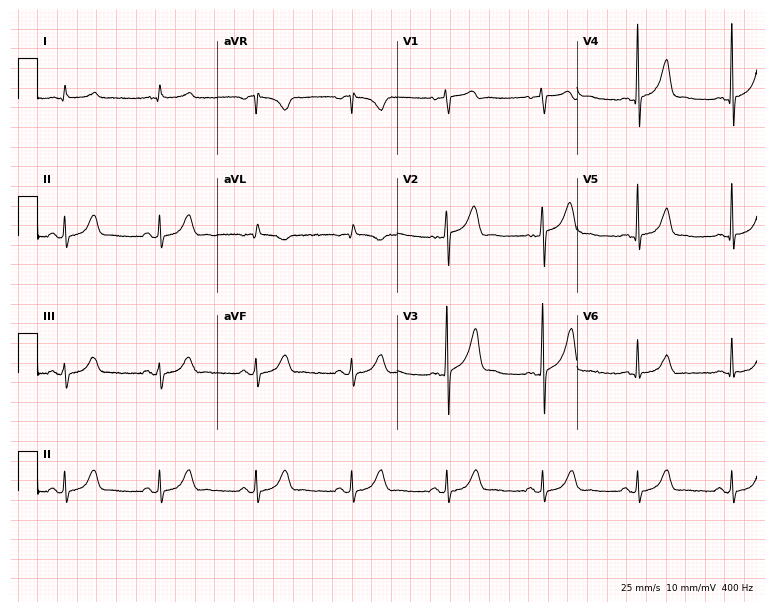
Resting 12-lead electrocardiogram (7.3-second recording at 400 Hz). Patient: a man, 56 years old. Read as a normal ECG.